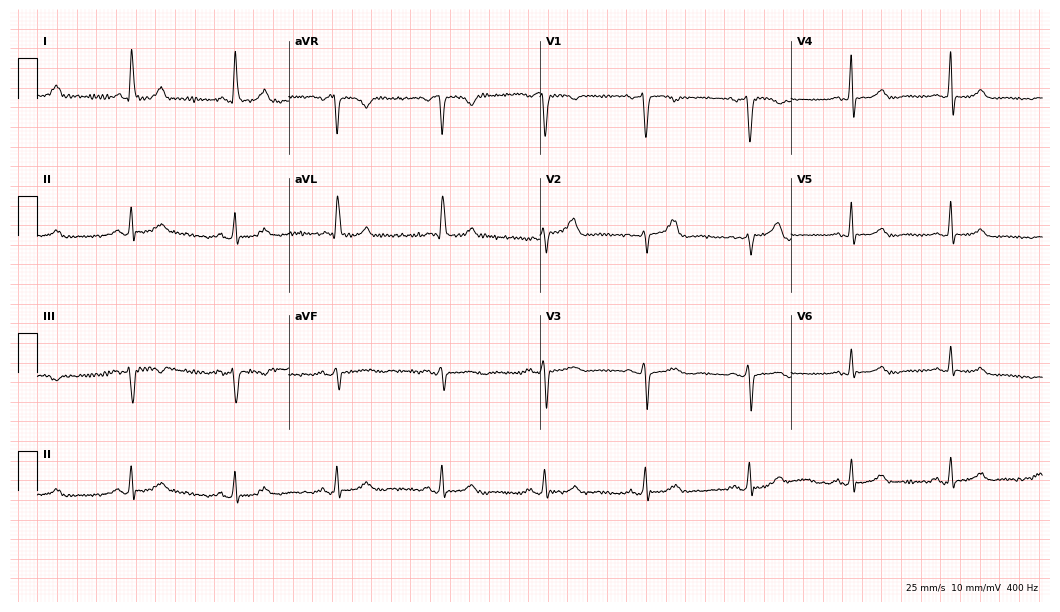
Electrocardiogram, a woman, 65 years old. Overall reading on record: normal ECG.